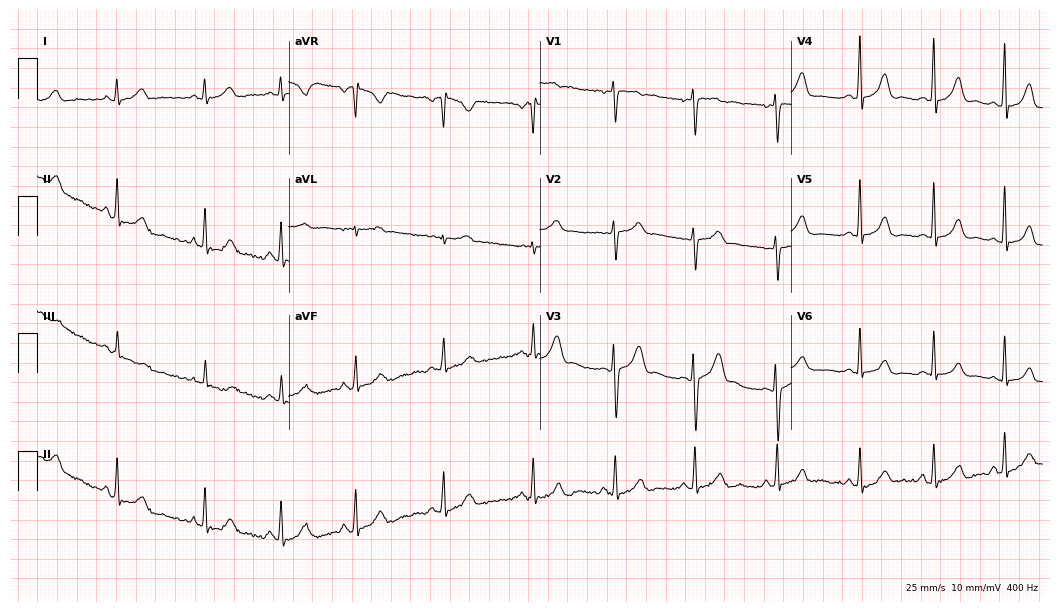
ECG — a 26-year-old woman. Labelled as a normal ECG.